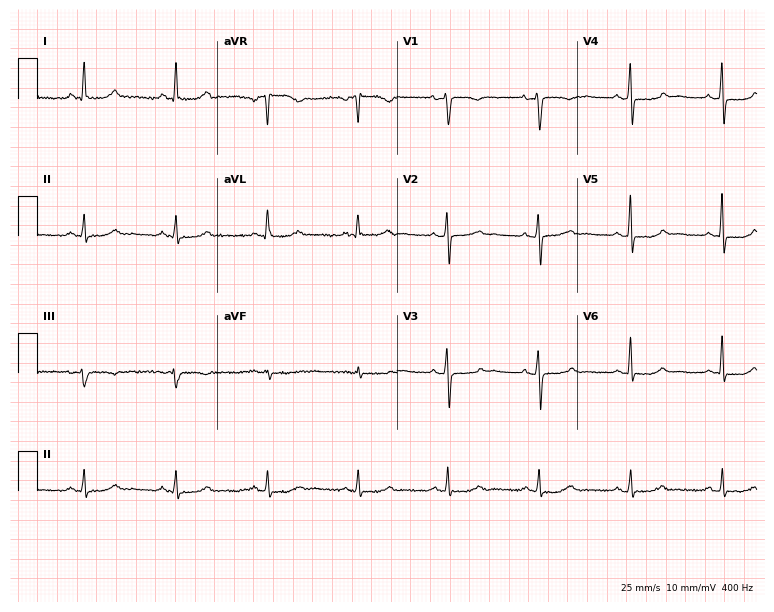
Standard 12-lead ECG recorded from a female, 50 years old (7.3-second recording at 400 Hz). None of these six findings is recorded: first-degree AV block, right bundle branch block, left bundle branch block, sinus bradycardia, atrial fibrillation, sinus tachycardia. Only these six findings were labelled.